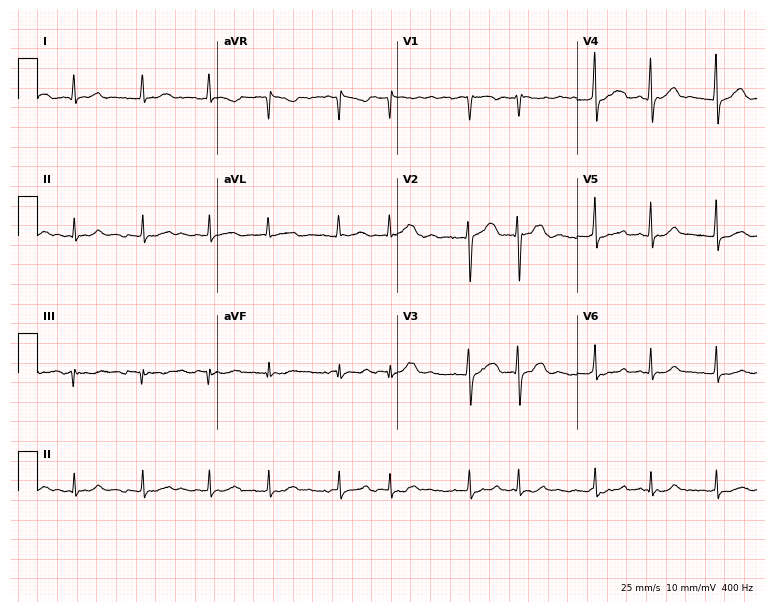
Electrocardiogram, a 55-year-old woman. Of the six screened findings (first-degree AV block, right bundle branch block, left bundle branch block, sinus bradycardia, atrial fibrillation, sinus tachycardia), none is recorded. Findings outside these six are not listed.